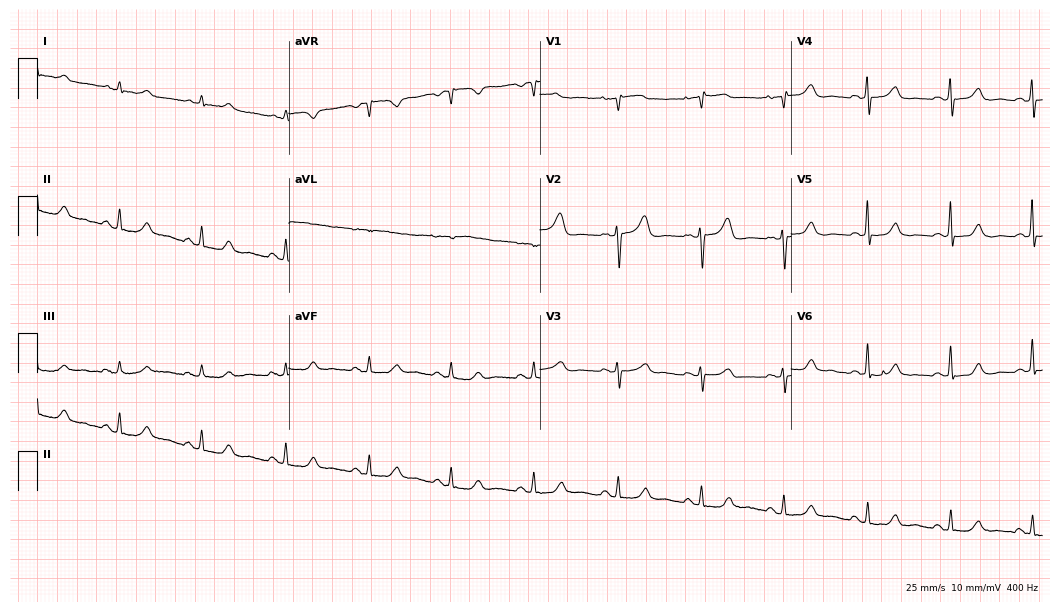
ECG (10.2-second recording at 400 Hz) — a 64-year-old female patient. Labelled as a normal ECG.